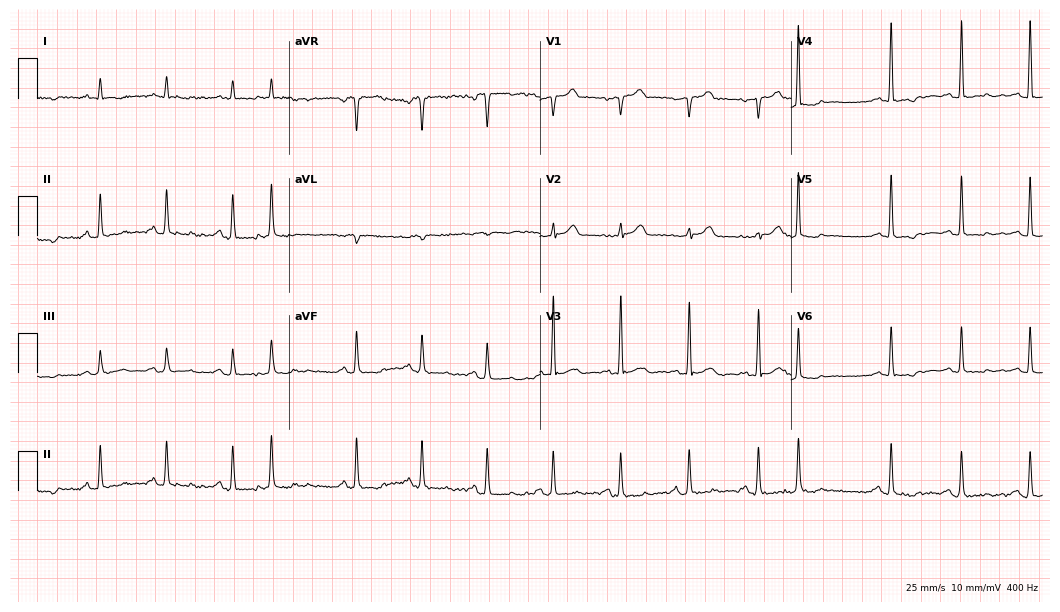
Standard 12-lead ECG recorded from a 75-year-old male patient. Read as a normal ECG.